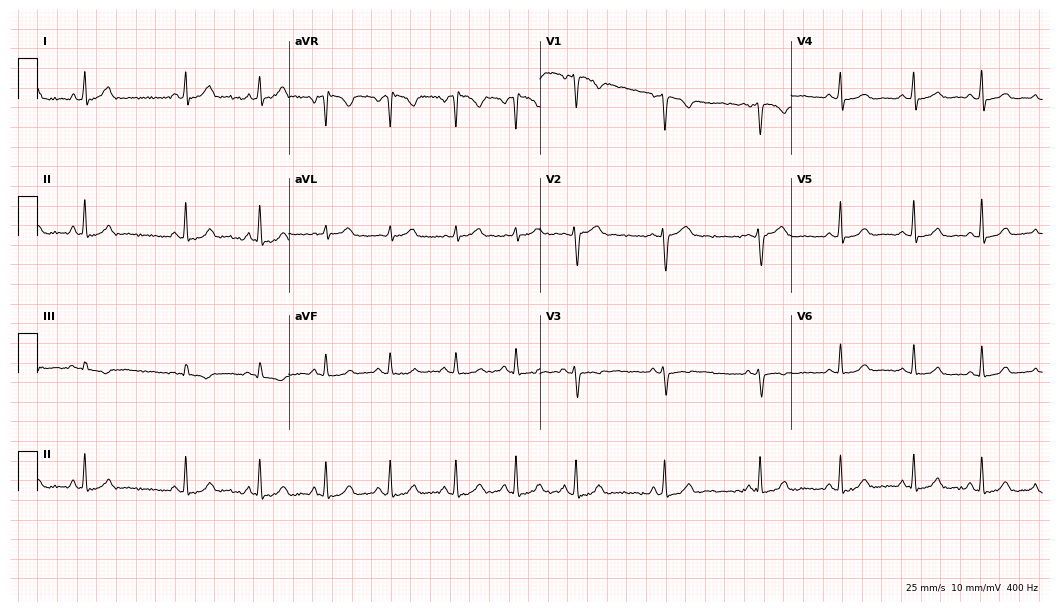
12-lead ECG (10.2-second recording at 400 Hz) from a 34-year-old female patient. Screened for six findings — first-degree AV block, right bundle branch block, left bundle branch block, sinus bradycardia, atrial fibrillation, sinus tachycardia — none is recorded.